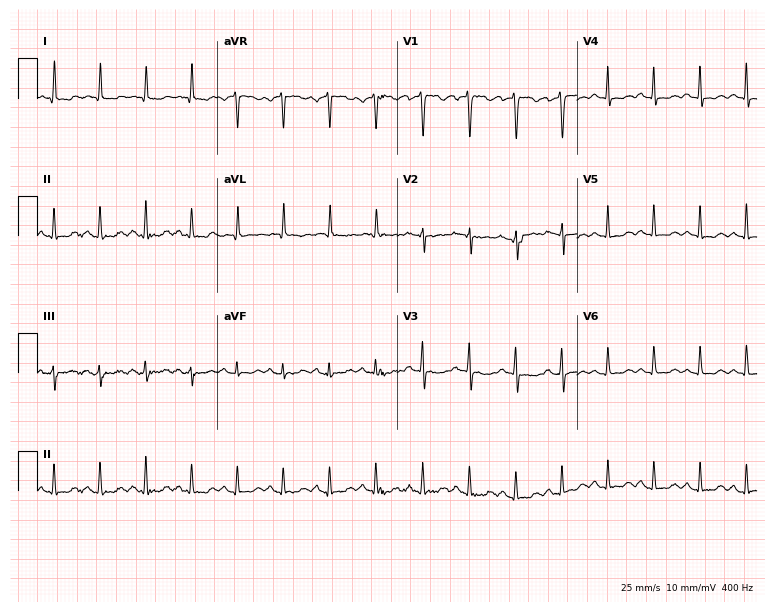
Standard 12-lead ECG recorded from a 47-year-old female (7.3-second recording at 400 Hz). The tracing shows sinus tachycardia (a sinus rate of 100 beats per minute or more).